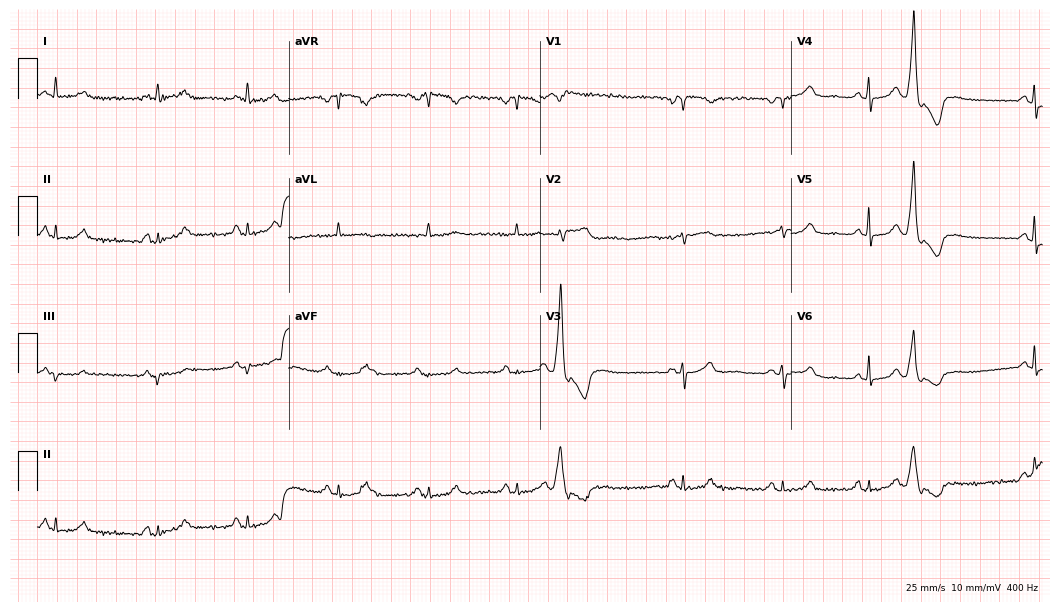
Standard 12-lead ECG recorded from a 63-year-old female. None of these six findings is recorded: first-degree AV block, right bundle branch block, left bundle branch block, sinus bradycardia, atrial fibrillation, sinus tachycardia.